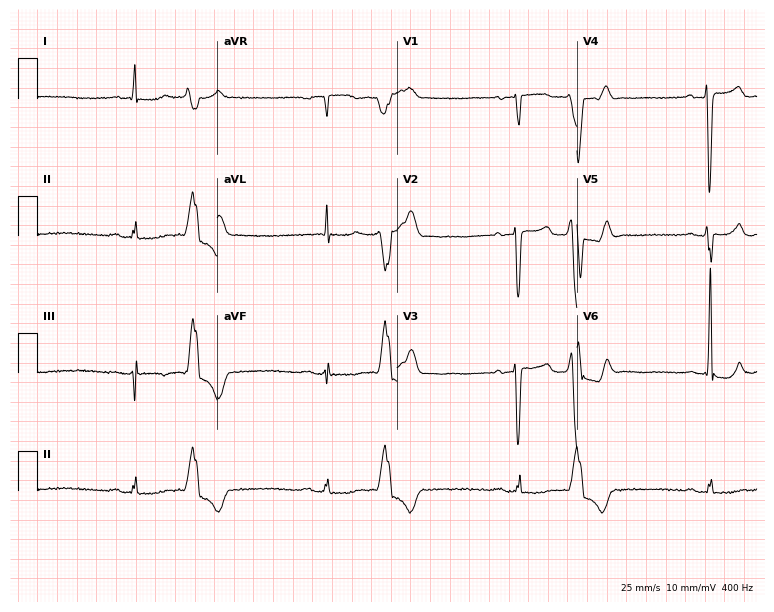
Standard 12-lead ECG recorded from a male patient, 66 years old (7.3-second recording at 400 Hz). None of these six findings is recorded: first-degree AV block, right bundle branch block, left bundle branch block, sinus bradycardia, atrial fibrillation, sinus tachycardia. Findings outside these six are not listed.